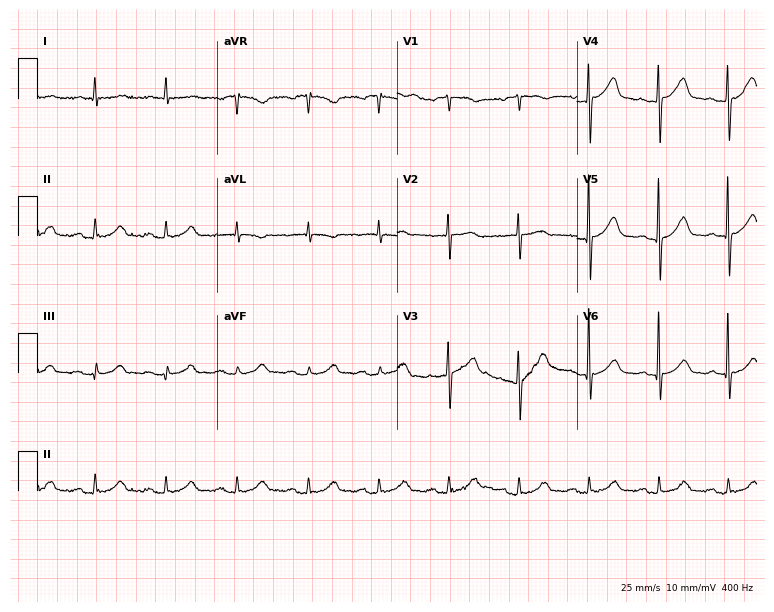
Electrocardiogram, a male patient, 82 years old. Of the six screened findings (first-degree AV block, right bundle branch block, left bundle branch block, sinus bradycardia, atrial fibrillation, sinus tachycardia), none is recorded.